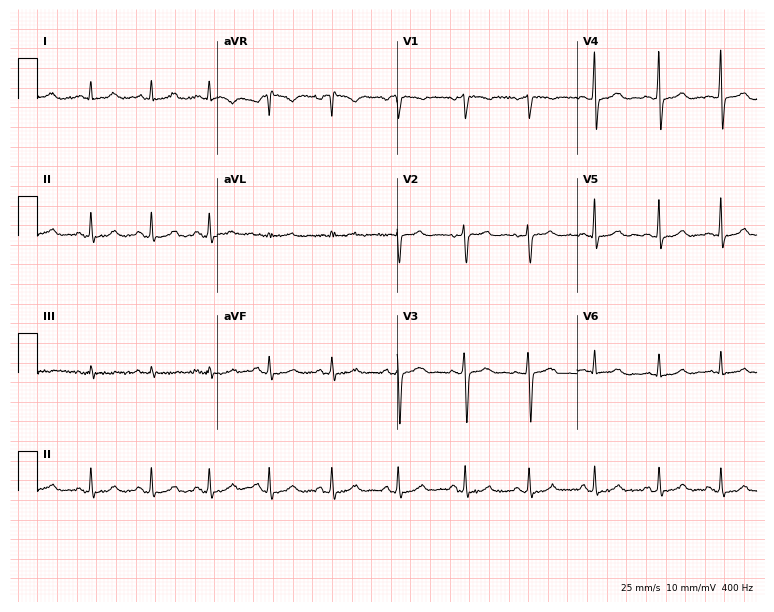
ECG — a 31-year-old female. Labelled as a normal ECG.